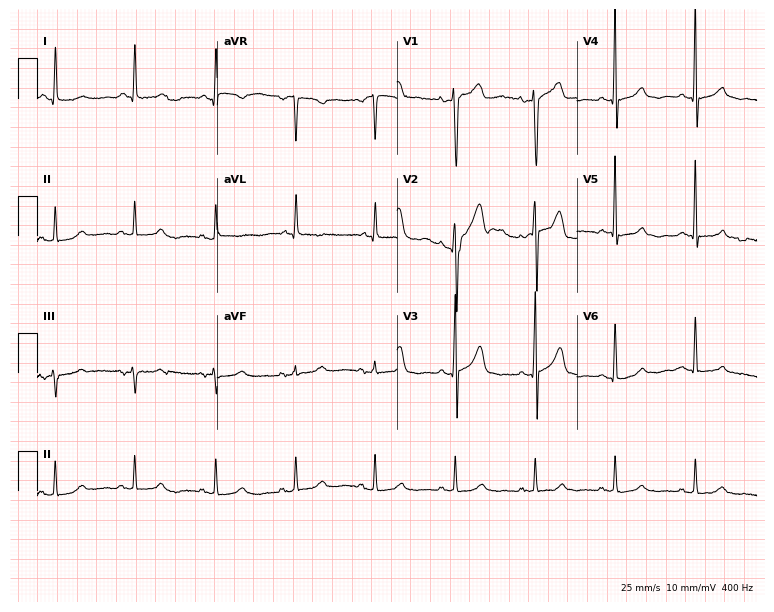
12-lead ECG from a man, 76 years old. Screened for six findings — first-degree AV block, right bundle branch block (RBBB), left bundle branch block (LBBB), sinus bradycardia, atrial fibrillation (AF), sinus tachycardia — none is recorded. Only these six findings were labelled.